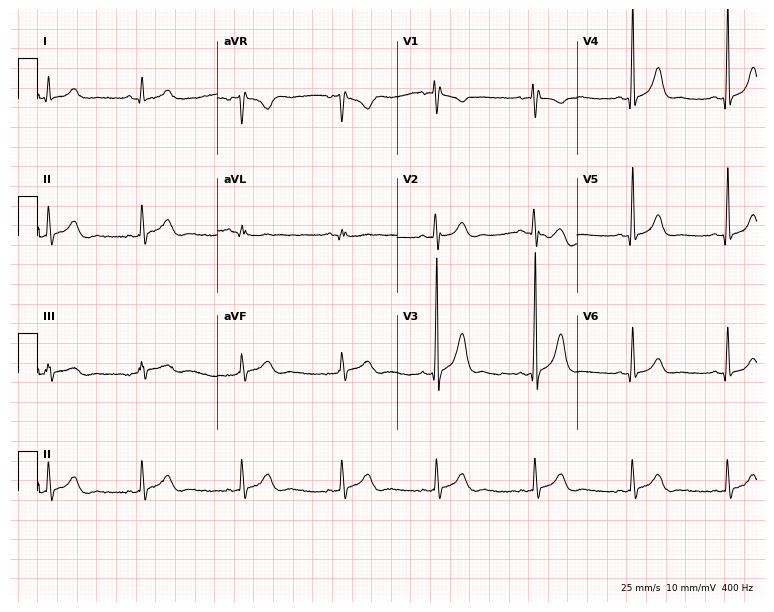
12-lead ECG (7.3-second recording at 400 Hz) from a male patient, 17 years old. Labelled as a normal ECG.